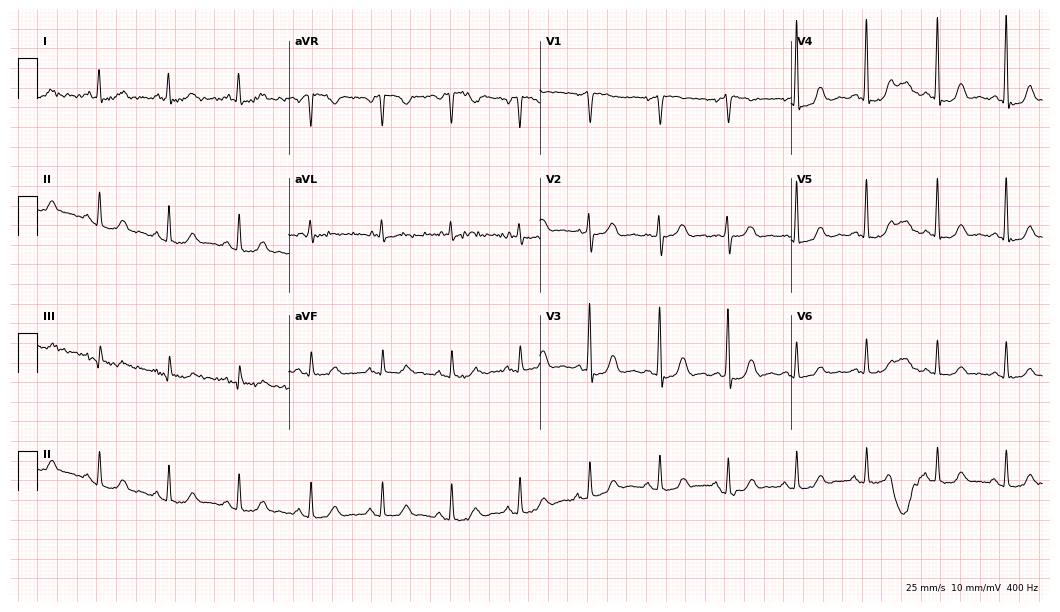
Electrocardiogram (10.2-second recording at 400 Hz), a woman, 71 years old. Of the six screened findings (first-degree AV block, right bundle branch block (RBBB), left bundle branch block (LBBB), sinus bradycardia, atrial fibrillation (AF), sinus tachycardia), none is recorded. Findings outside these six are not listed.